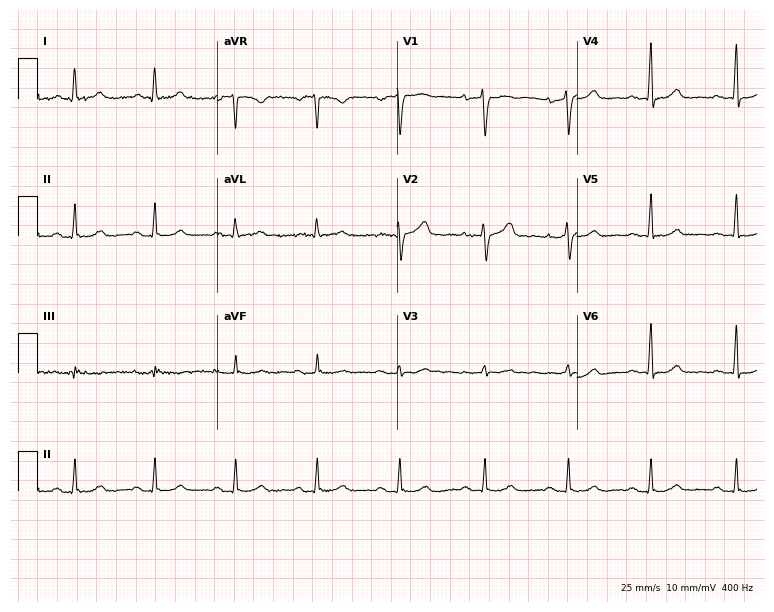
12-lead ECG (7.3-second recording at 400 Hz) from a 56-year-old woman. Labelled as a normal ECG.